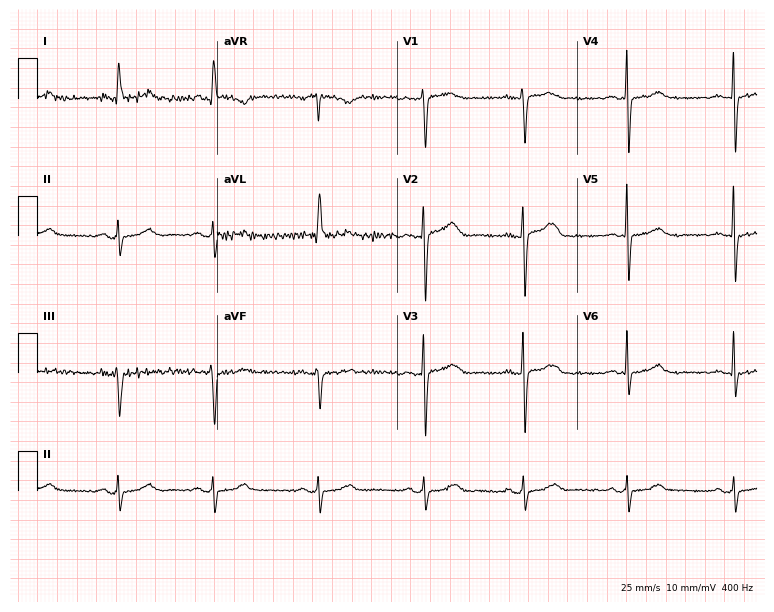
Electrocardiogram (7.3-second recording at 400 Hz), a woman, 77 years old. Of the six screened findings (first-degree AV block, right bundle branch block (RBBB), left bundle branch block (LBBB), sinus bradycardia, atrial fibrillation (AF), sinus tachycardia), none is recorded.